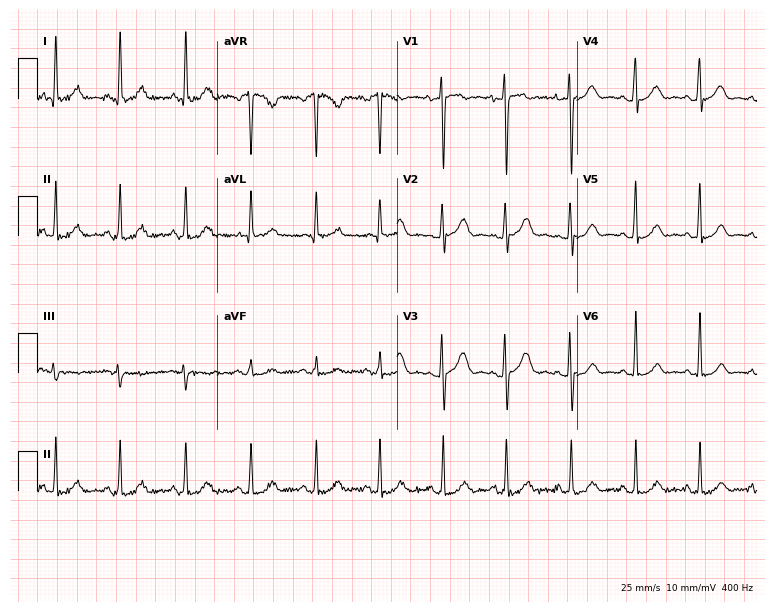
Resting 12-lead electrocardiogram (7.3-second recording at 400 Hz). Patient: a 29-year-old woman. Read as a normal ECG.